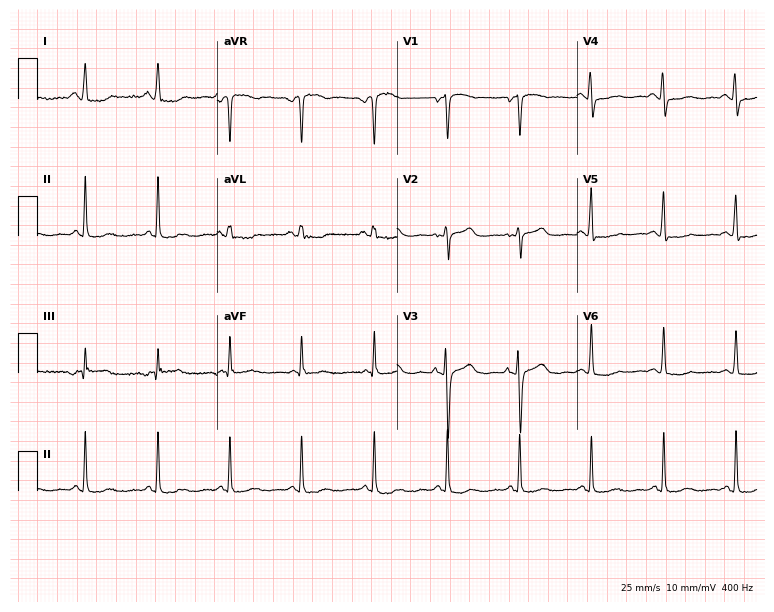
12-lead ECG from a female patient, 66 years old (7.3-second recording at 400 Hz). No first-degree AV block, right bundle branch block (RBBB), left bundle branch block (LBBB), sinus bradycardia, atrial fibrillation (AF) or sinus tachycardia recorded for this tracing.